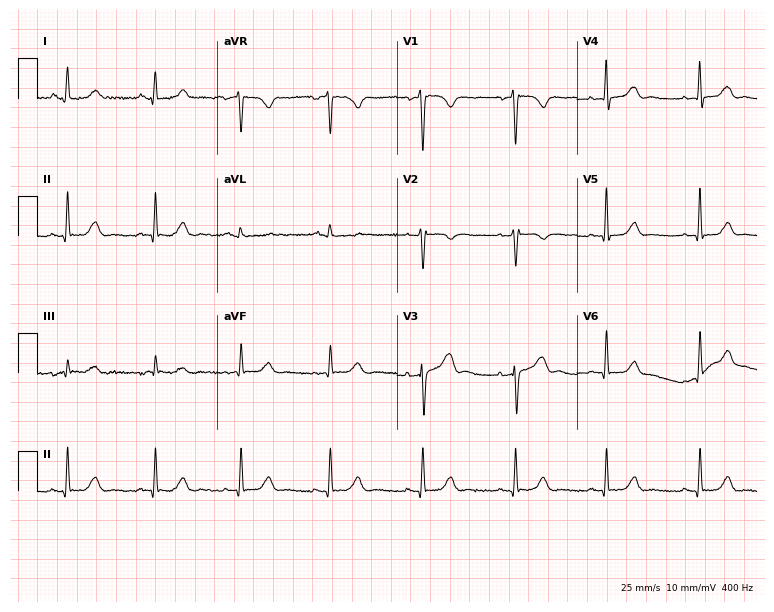
Resting 12-lead electrocardiogram. Patient: a 36-year-old female. Read as a normal ECG.